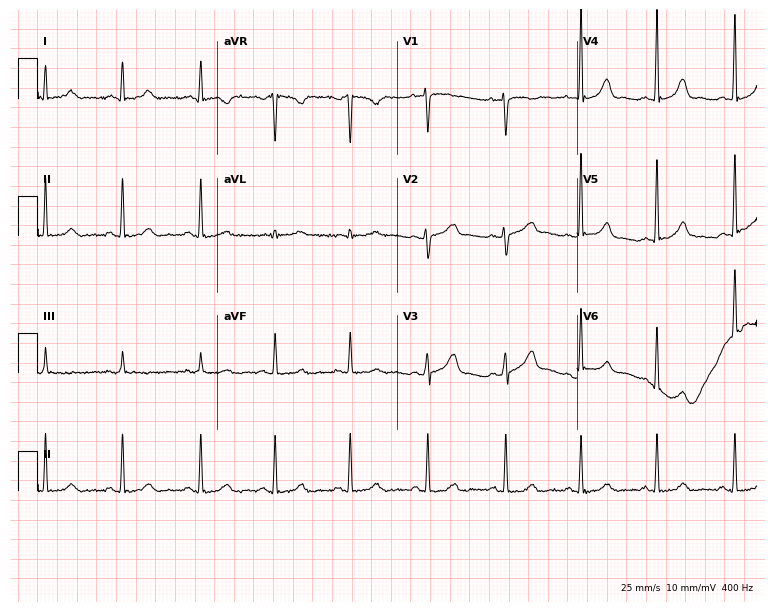
Electrocardiogram (7.3-second recording at 400 Hz), a 29-year-old woman. Of the six screened findings (first-degree AV block, right bundle branch block, left bundle branch block, sinus bradycardia, atrial fibrillation, sinus tachycardia), none is recorded.